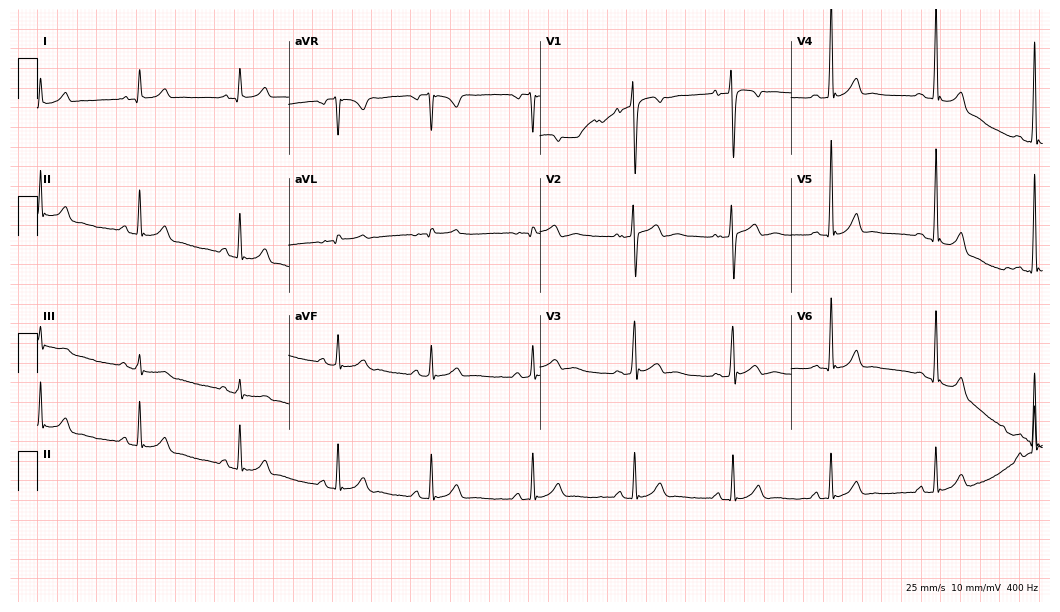
Resting 12-lead electrocardiogram. Patient: a male, 17 years old. Read as a normal ECG.